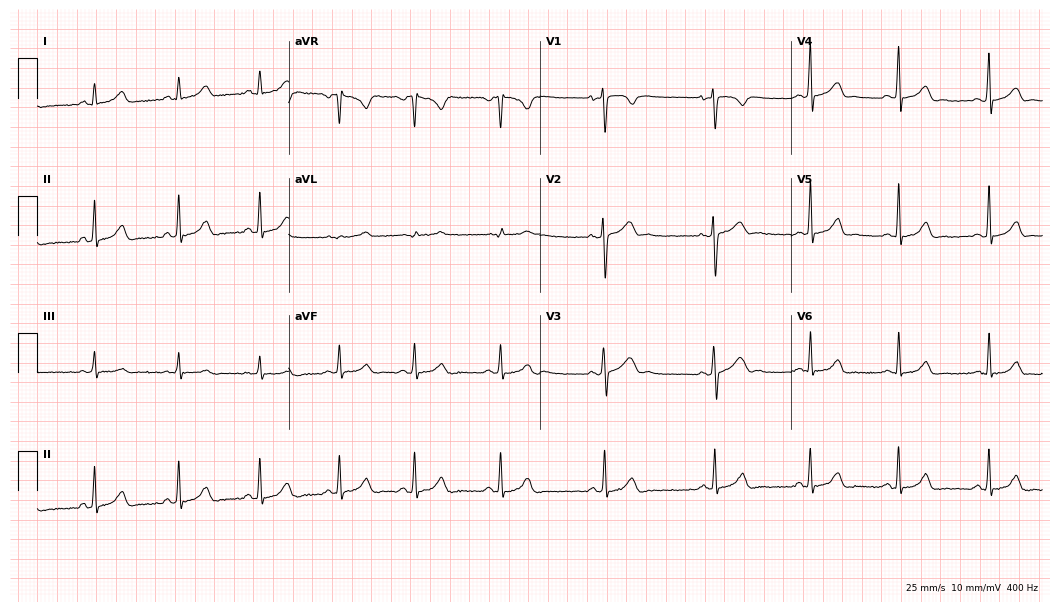
Resting 12-lead electrocardiogram. Patient: a 25-year-old woman. Read as a normal ECG.